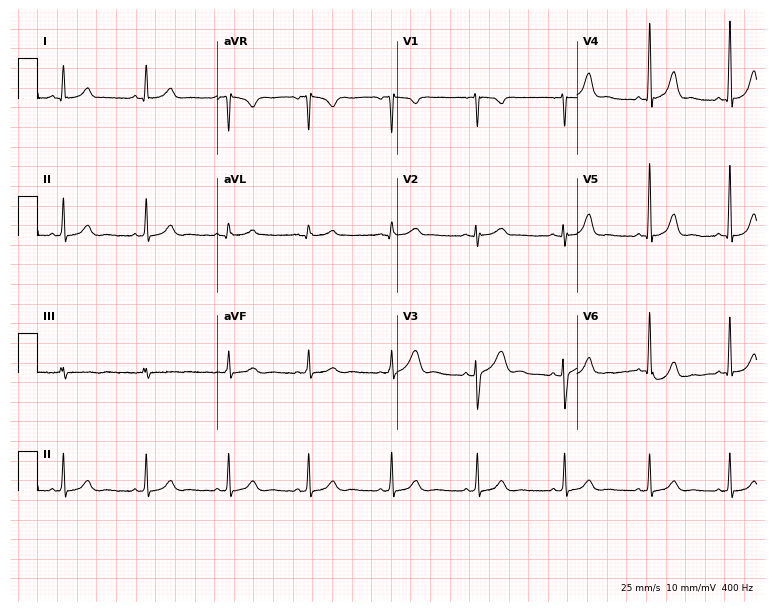
ECG (7.3-second recording at 400 Hz) — a female, 28 years old. Labelled as a normal ECG.